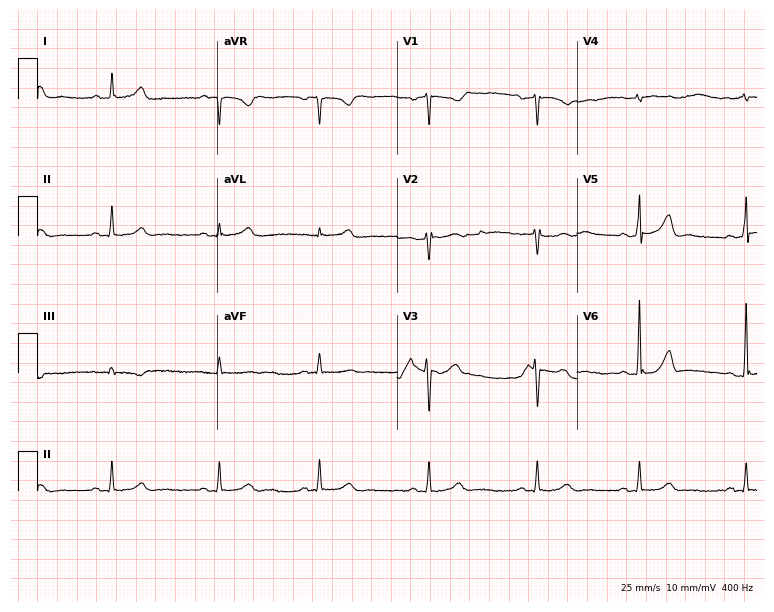
Standard 12-lead ECG recorded from a female, 42 years old (7.3-second recording at 400 Hz). Read as a normal ECG.